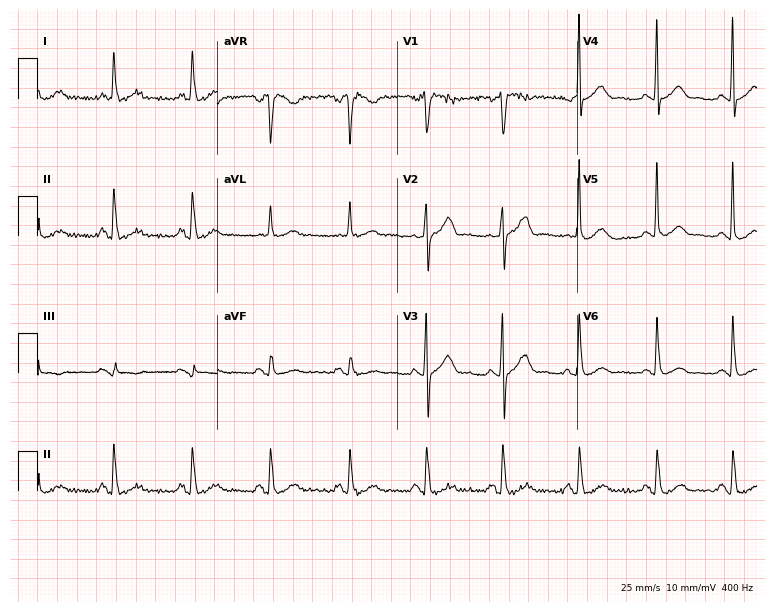
12-lead ECG from a 53-year-old man (7.3-second recording at 400 Hz). Recorded interpretation: within normal limits.